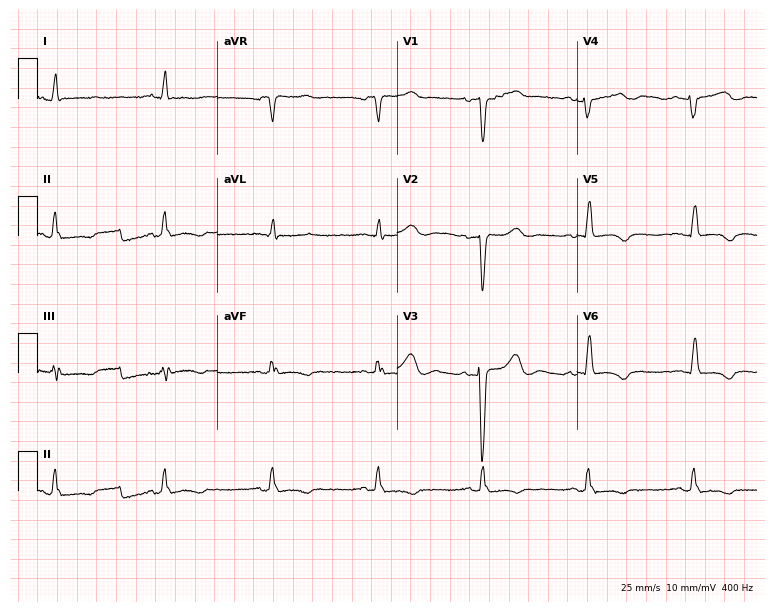
ECG (7.3-second recording at 400 Hz) — a 46-year-old female. Screened for six findings — first-degree AV block, right bundle branch block, left bundle branch block, sinus bradycardia, atrial fibrillation, sinus tachycardia — none is recorded. Findings outside these six are not listed.